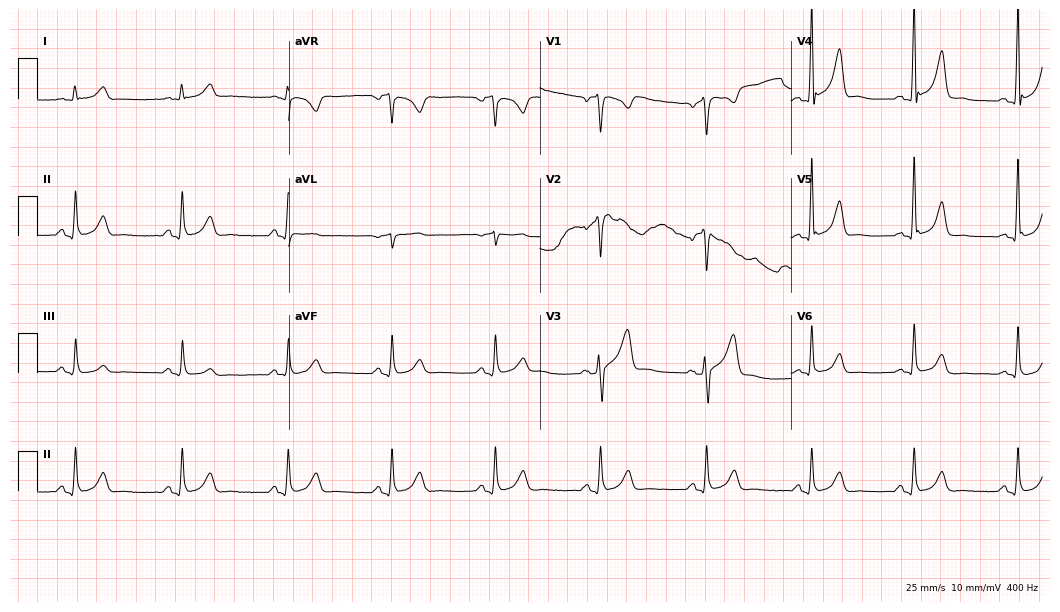
12-lead ECG (10.2-second recording at 400 Hz) from a male patient, 52 years old. Labelled as a normal ECG.